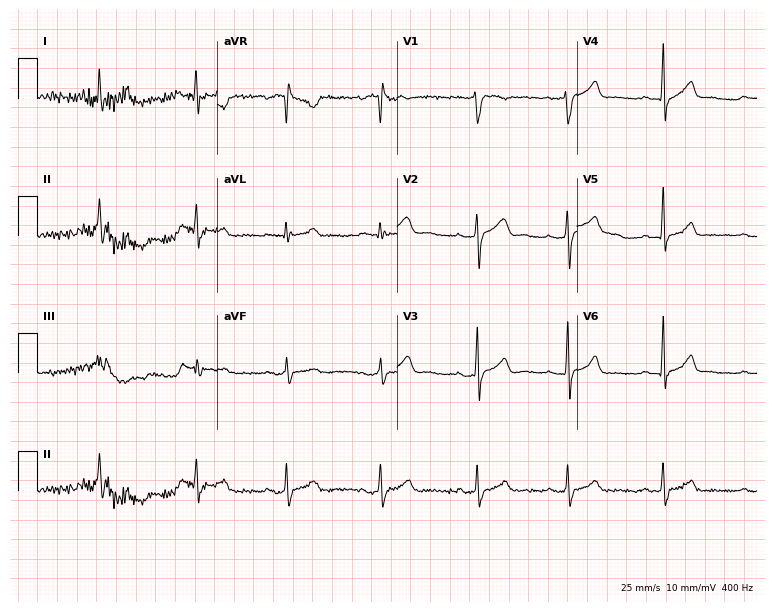
Standard 12-lead ECG recorded from a man, 23 years old (7.3-second recording at 400 Hz). None of these six findings is recorded: first-degree AV block, right bundle branch block, left bundle branch block, sinus bradycardia, atrial fibrillation, sinus tachycardia.